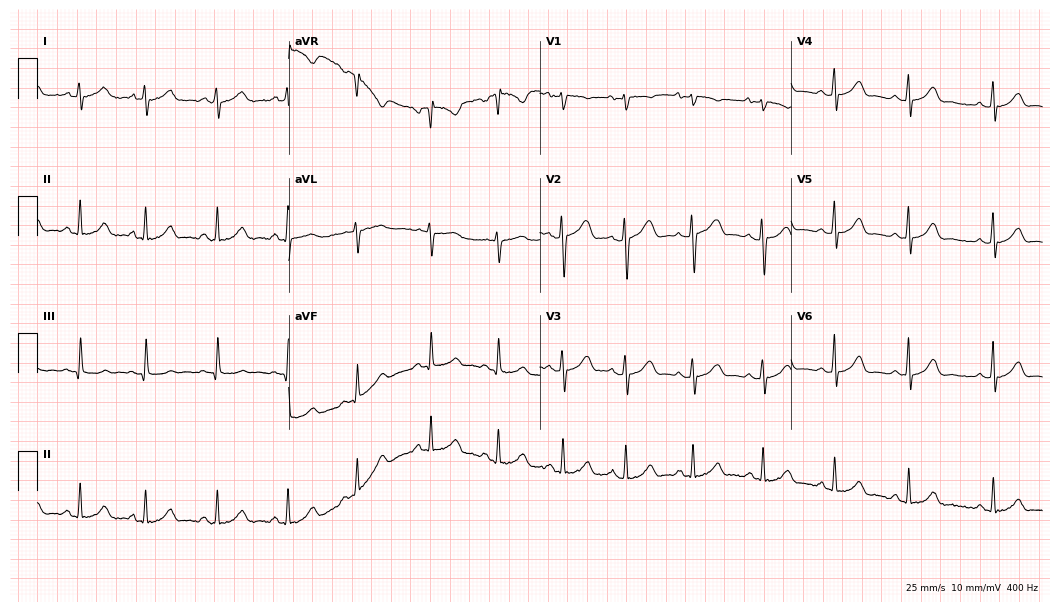
Resting 12-lead electrocardiogram (10.2-second recording at 400 Hz). Patient: a female, 19 years old. Read as a normal ECG.